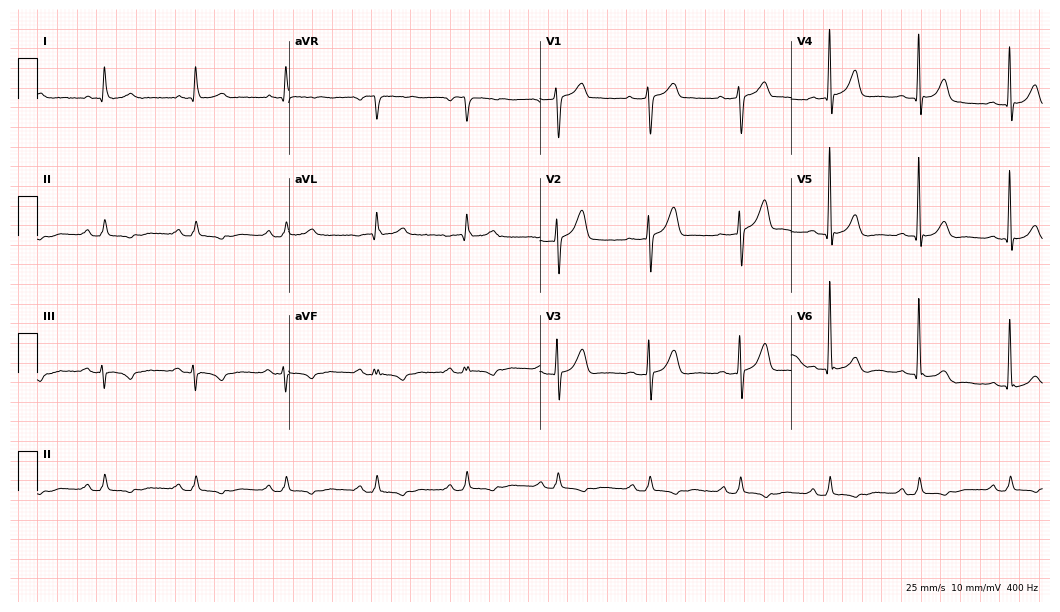
12-lead ECG from an 81-year-old male (10.2-second recording at 400 Hz). No first-degree AV block, right bundle branch block, left bundle branch block, sinus bradycardia, atrial fibrillation or sinus tachycardia recorded for this tracing.